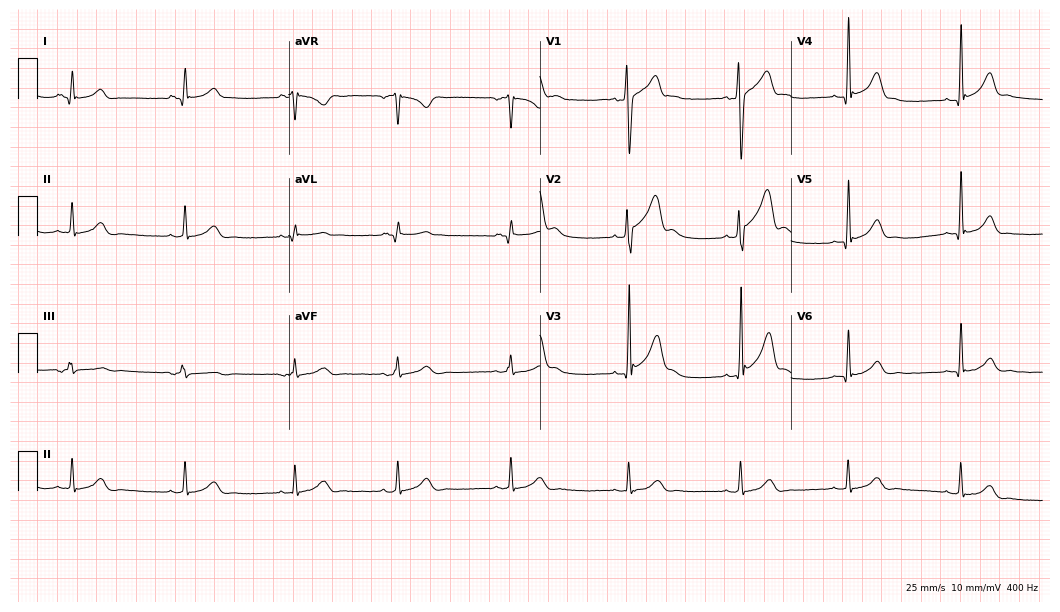
12-lead ECG from a 31-year-old male patient (10.2-second recording at 400 Hz). No first-degree AV block, right bundle branch block (RBBB), left bundle branch block (LBBB), sinus bradycardia, atrial fibrillation (AF) or sinus tachycardia recorded for this tracing. Other findings, if any, are not listed.